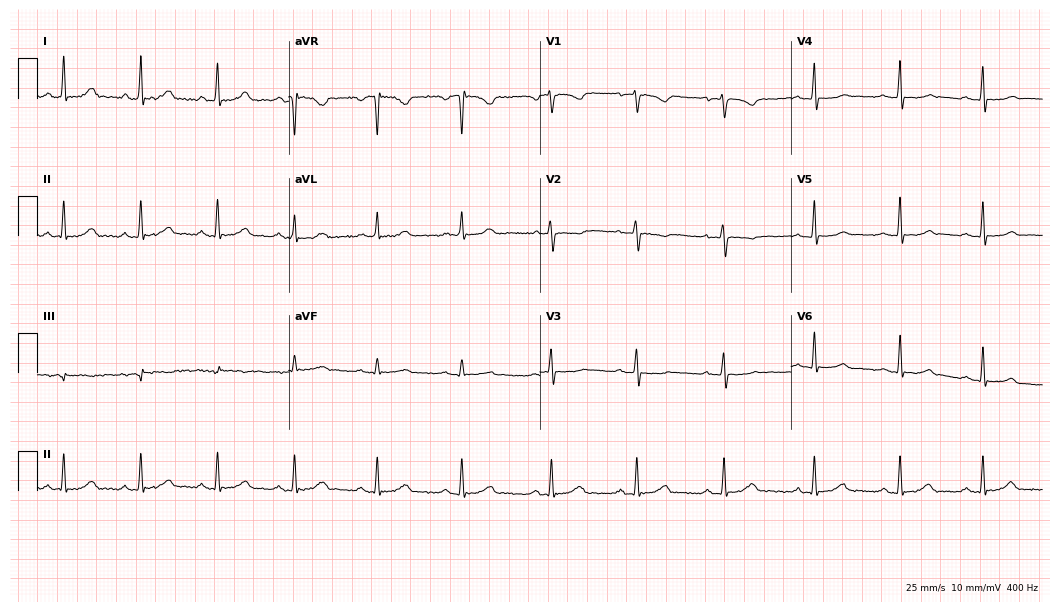
12-lead ECG (10.2-second recording at 400 Hz) from a 35-year-old woman. Labelled as a normal ECG.